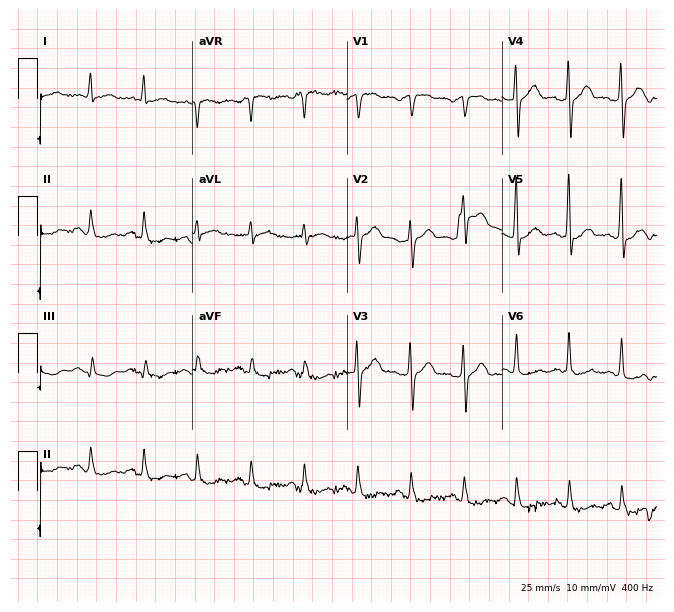
Resting 12-lead electrocardiogram (6.3-second recording at 400 Hz). Patient: a 64-year-old male. None of these six findings is recorded: first-degree AV block, right bundle branch block, left bundle branch block, sinus bradycardia, atrial fibrillation, sinus tachycardia.